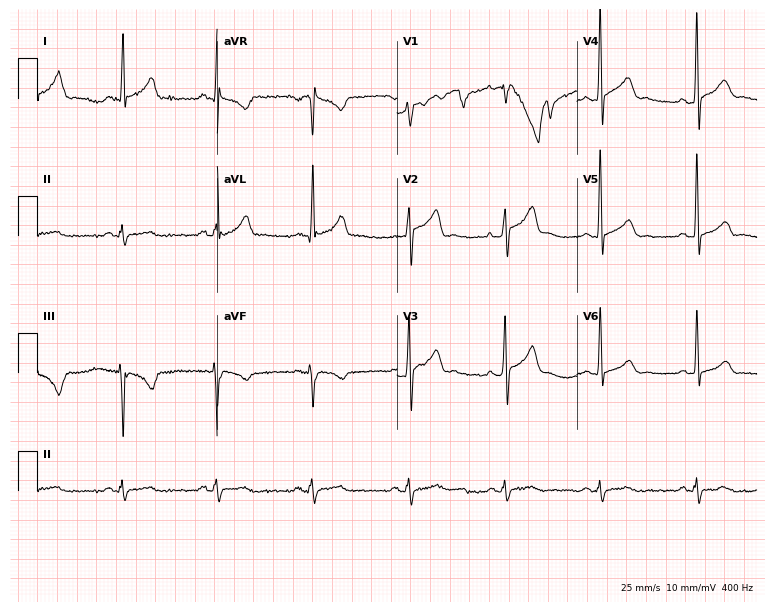
Standard 12-lead ECG recorded from a man, 48 years old (7.3-second recording at 400 Hz). Read as a normal ECG.